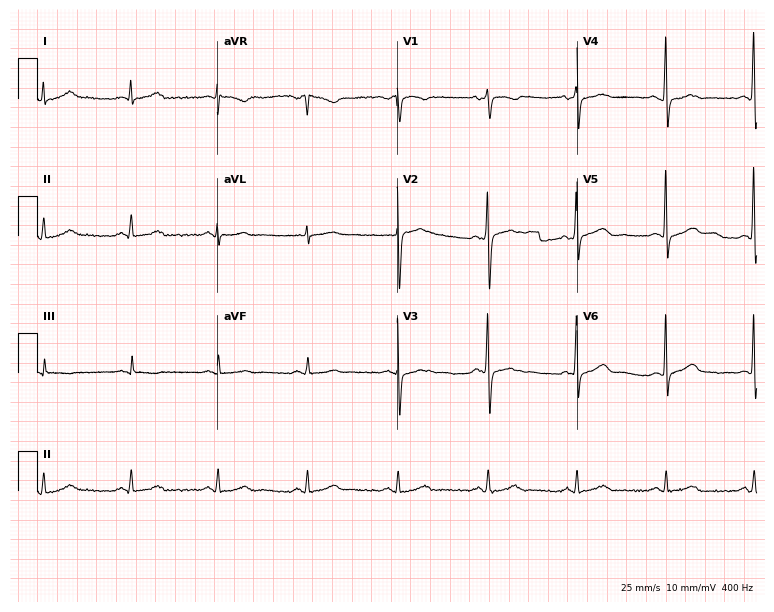
12-lead ECG from a 63-year-old male patient. No first-degree AV block, right bundle branch block (RBBB), left bundle branch block (LBBB), sinus bradycardia, atrial fibrillation (AF) or sinus tachycardia recorded for this tracing. Other findings, if any, are not listed.